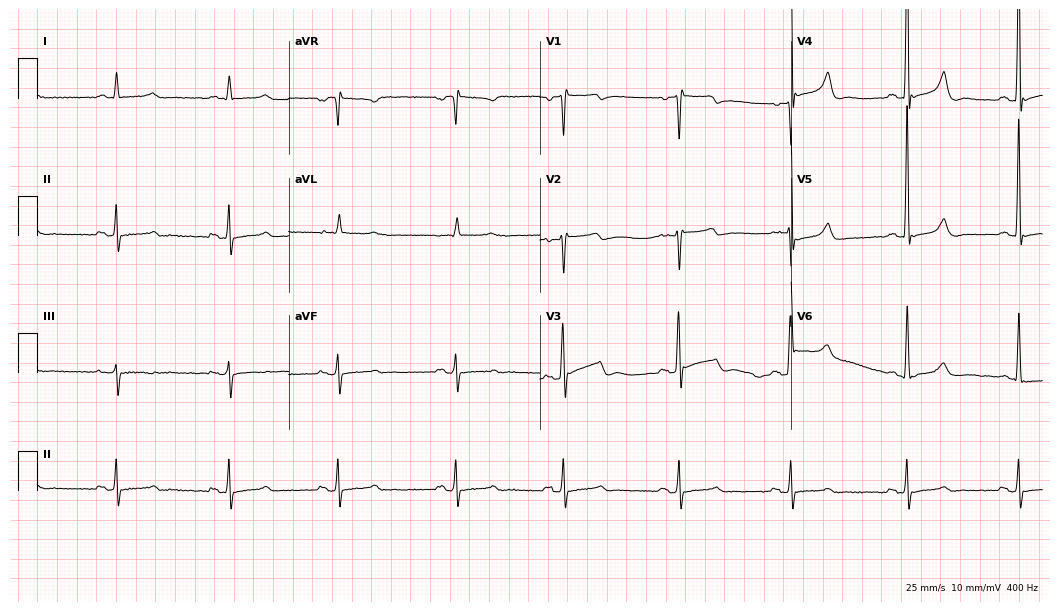
Resting 12-lead electrocardiogram. Patient: a man, 68 years old. None of these six findings is recorded: first-degree AV block, right bundle branch block (RBBB), left bundle branch block (LBBB), sinus bradycardia, atrial fibrillation (AF), sinus tachycardia.